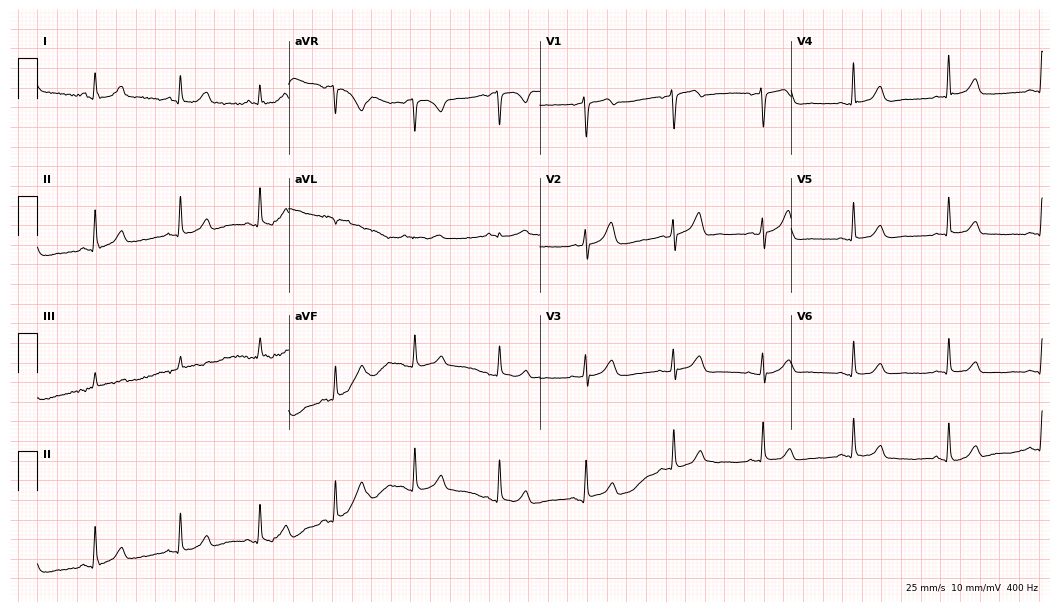
Electrocardiogram (10.2-second recording at 400 Hz), a female, 55 years old. Overall reading on record: normal ECG.